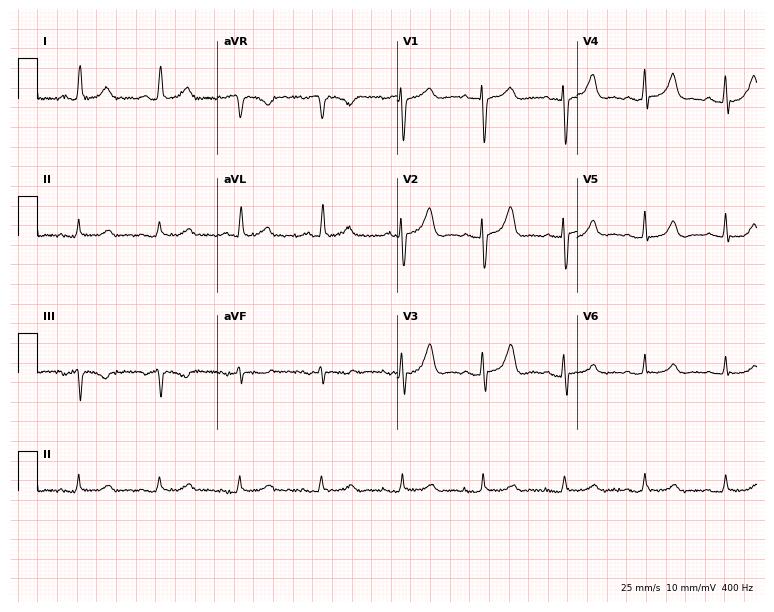
Standard 12-lead ECG recorded from a 73-year-old female patient (7.3-second recording at 400 Hz). None of these six findings is recorded: first-degree AV block, right bundle branch block (RBBB), left bundle branch block (LBBB), sinus bradycardia, atrial fibrillation (AF), sinus tachycardia. Only these six findings were labelled.